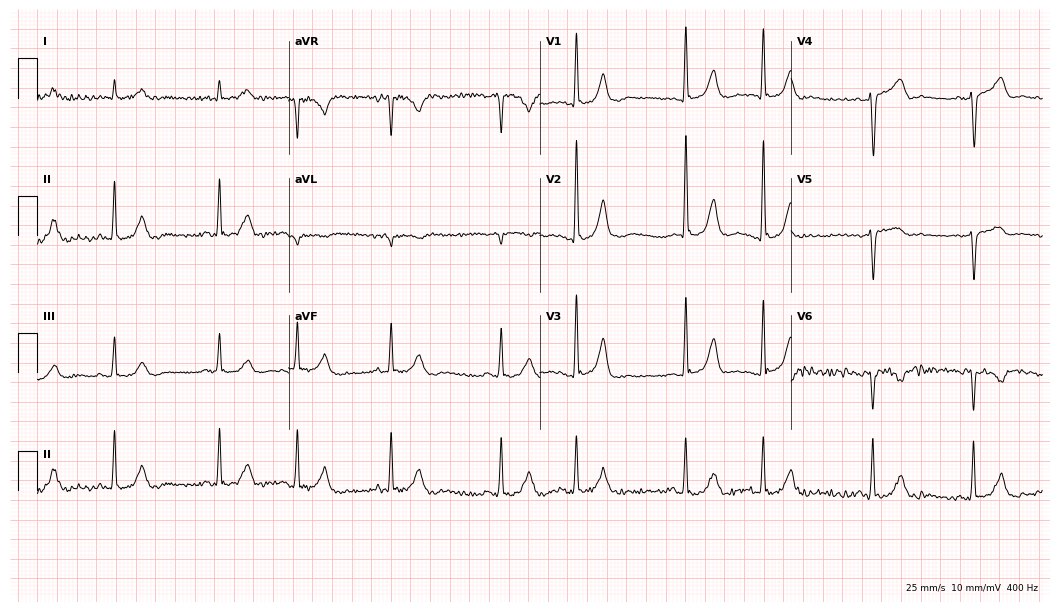
ECG (10.2-second recording at 400 Hz) — an 80-year-old male. Screened for six findings — first-degree AV block, right bundle branch block (RBBB), left bundle branch block (LBBB), sinus bradycardia, atrial fibrillation (AF), sinus tachycardia — none is recorded. Only these six findings were labelled.